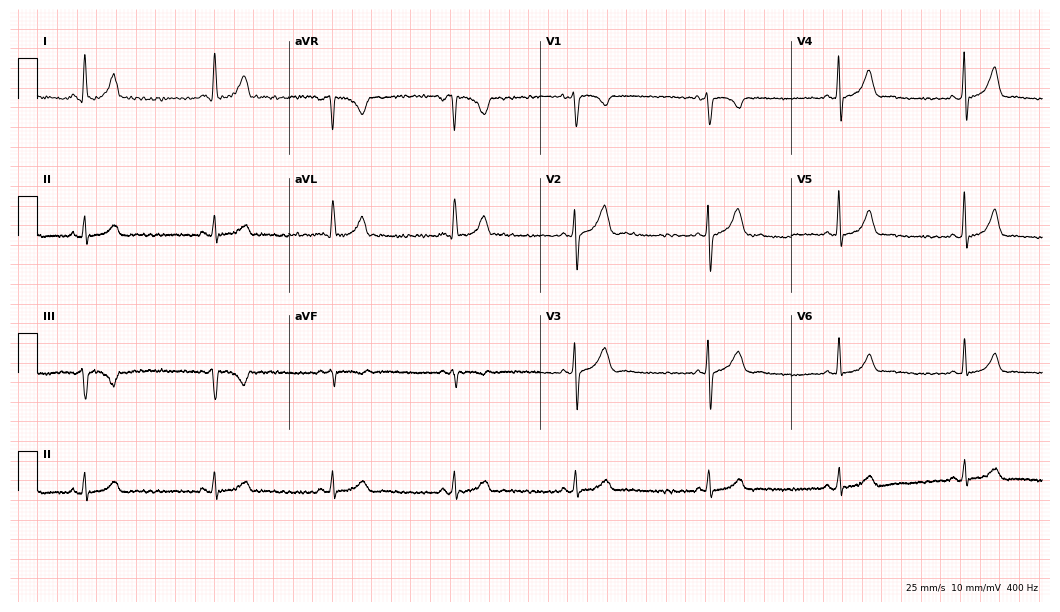
ECG (10.2-second recording at 400 Hz) — a female patient, 48 years old. Screened for six findings — first-degree AV block, right bundle branch block, left bundle branch block, sinus bradycardia, atrial fibrillation, sinus tachycardia — none is recorded. Only these six findings were labelled.